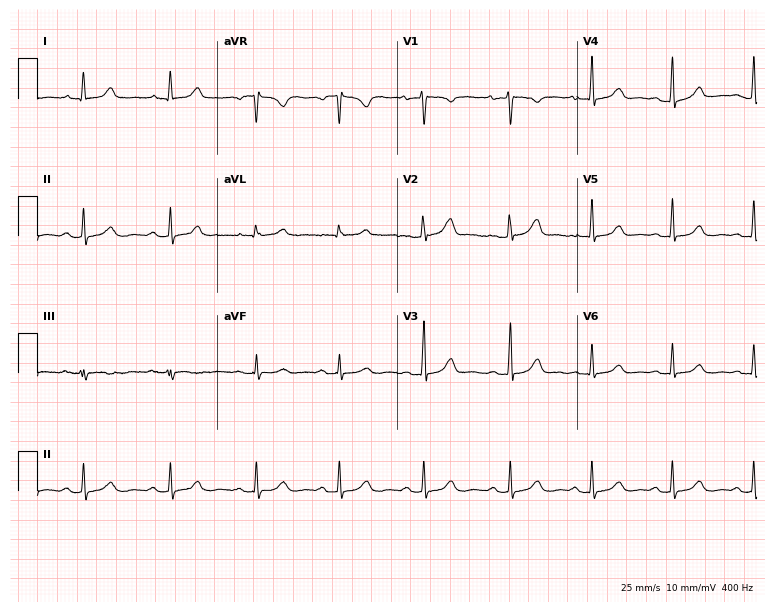
Standard 12-lead ECG recorded from a female patient, 48 years old (7.3-second recording at 400 Hz). None of these six findings is recorded: first-degree AV block, right bundle branch block, left bundle branch block, sinus bradycardia, atrial fibrillation, sinus tachycardia.